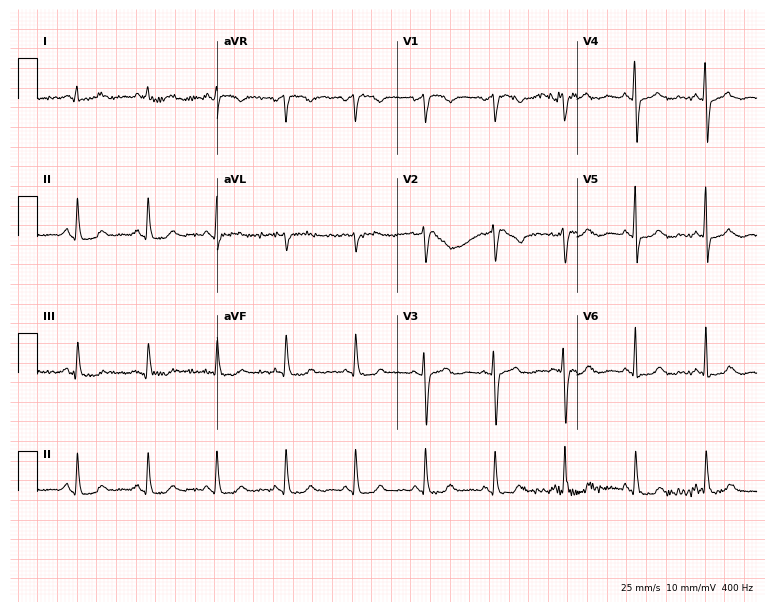
Electrocardiogram (7.3-second recording at 400 Hz), a 61-year-old female. Of the six screened findings (first-degree AV block, right bundle branch block (RBBB), left bundle branch block (LBBB), sinus bradycardia, atrial fibrillation (AF), sinus tachycardia), none is recorded. Findings outside these six are not listed.